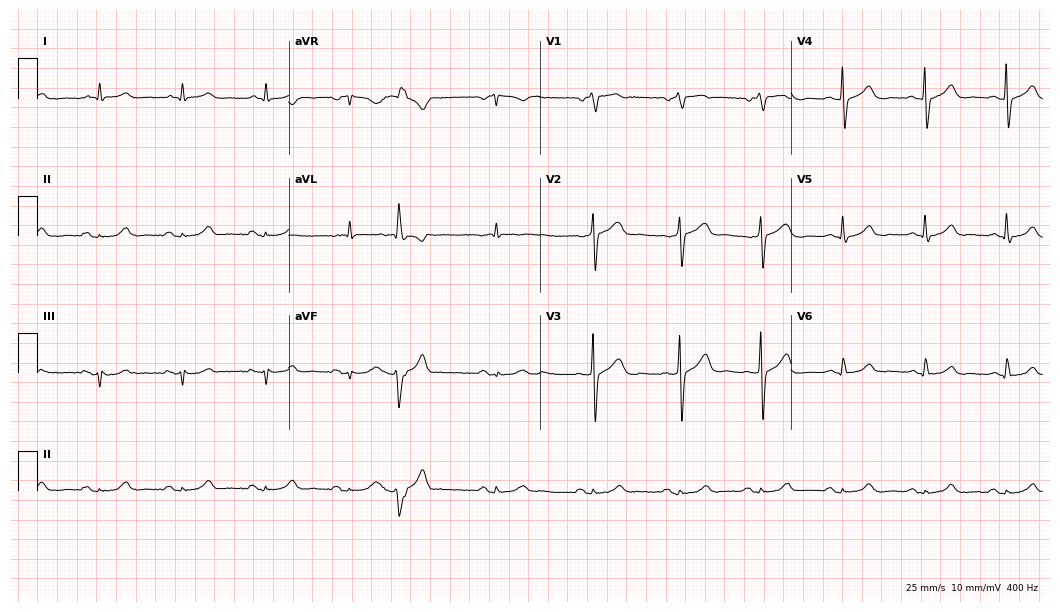
12-lead ECG from a 61-year-old man (10.2-second recording at 400 Hz). No first-degree AV block, right bundle branch block, left bundle branch block, sinus bradycardia, atrial fibrillation or sinus tachycardia recorded for this tracing.